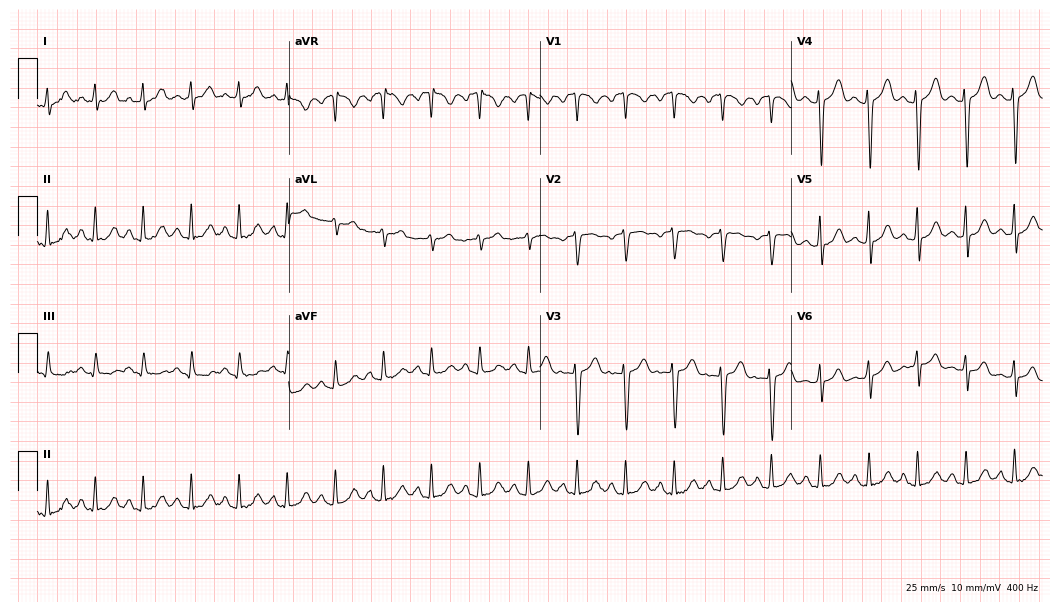
ECG (10.2-second recording at 400 Hz) — a woman, 22 years old. Findings include sinus tachycardia (a sinus rate of 100 beats per minute or more).